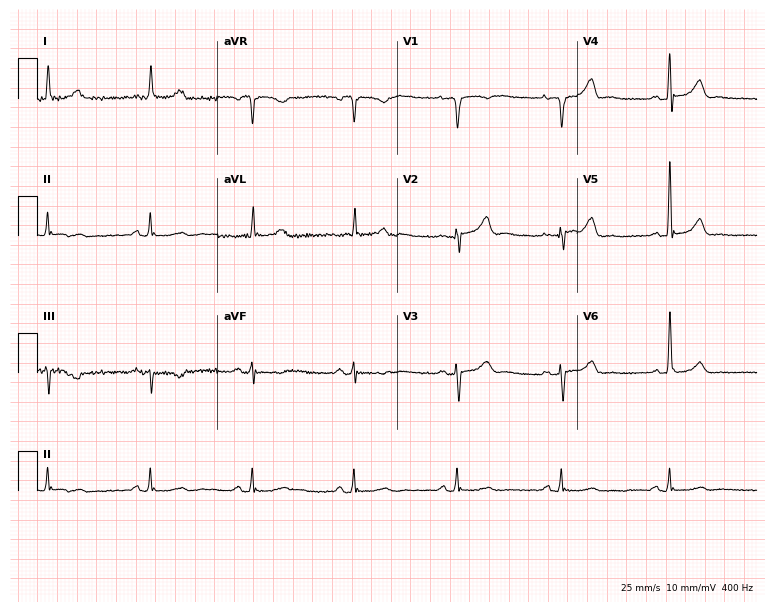
Standard 12-lead ECG recorded from a man, 76 years old (7.3-second recording at 400 Hz). Read as a normal ECG.